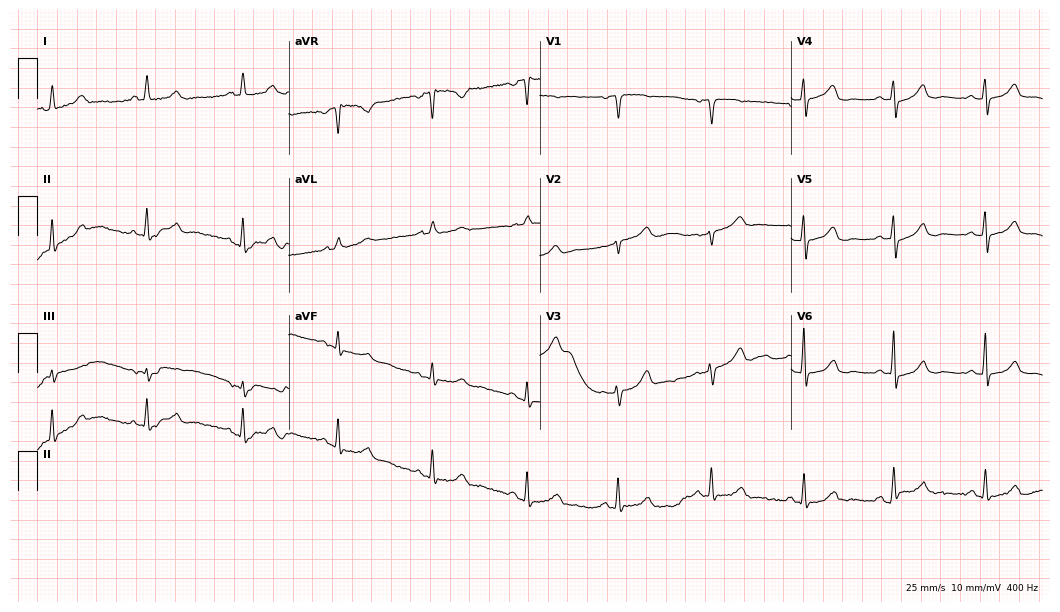
Electrocardiogram (10.2-second recording at 400 Hz), a 57-year-old female. Overall reading on record: normal ECG.